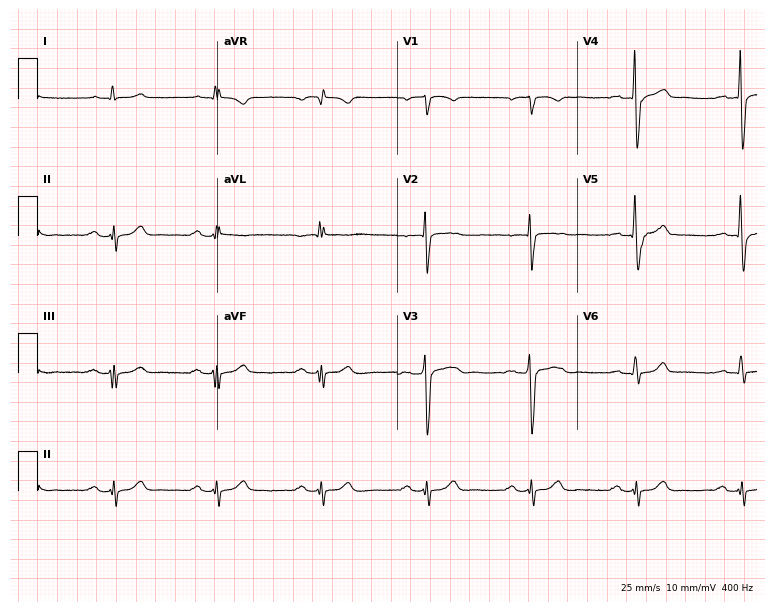
ECG — a man, 66 years old. Findings include first-degree AV block.